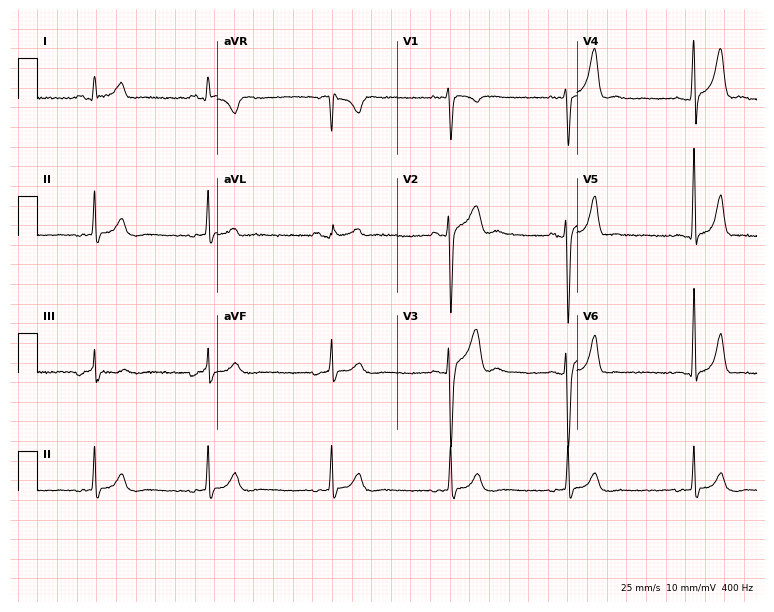
12-lead ECG from a 24-year-old male. No first-degree AV block, right bundle branch block (RBBB), left bundle branch block (LBBB), sinus bradycardia, atrial fibrillation (AF) or sinus tachycardia recorded for this tracing. Only these six findings were labelled.